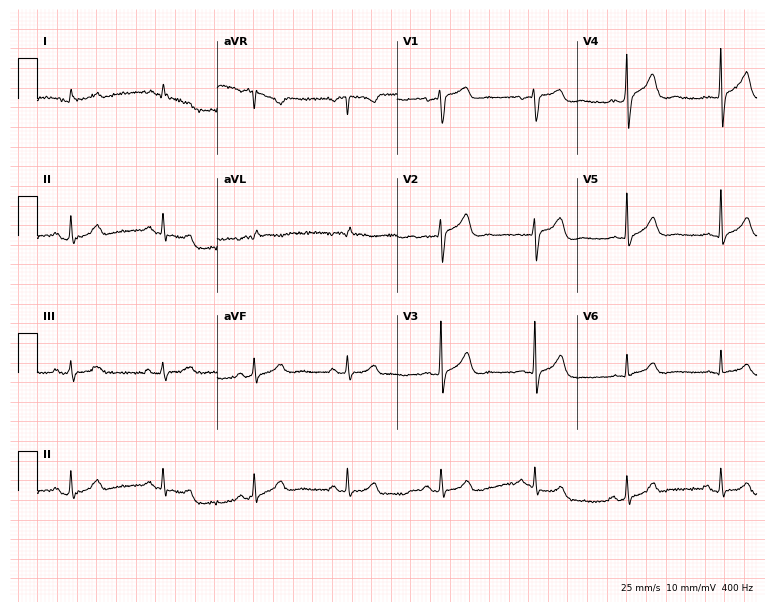
Resting 12-lead electrocardiogram (7.3-second recording at 400 Hz). Patient: a male, 58 years old. None of these six findings is recorded: first-degree AV block, right bundle branch block (RBBB), left bundle branch block (LBBB), sinus bradycardia, atrial fibrillation (AF), sinus tachycardia. Only these six findings were labelled.